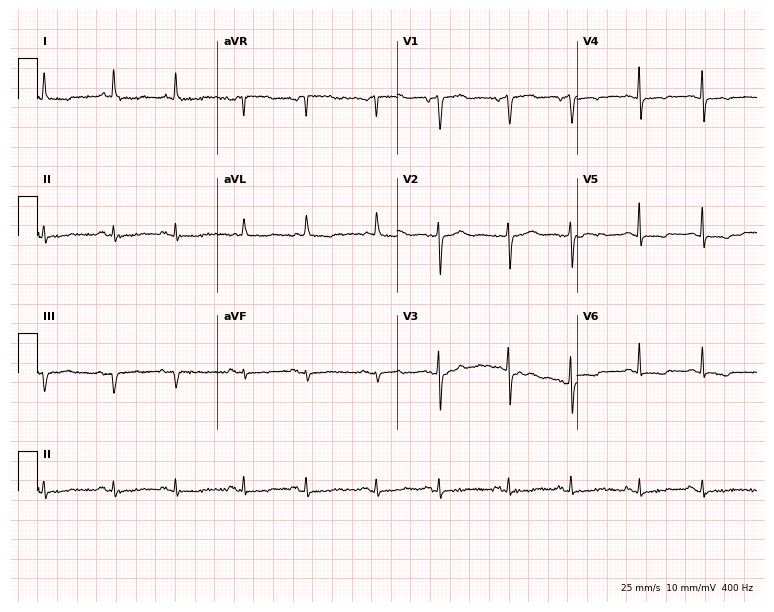
12-lead ECG from a female, 79 years old (7.3-second recording at 400 Hz). No first-degree AV block, right bundle branch block, left bundle branch block, sinus bradycardia, atrial fibrillation or sinus tachycardia recorded for this tracing. Other findings, if any, are not listed.